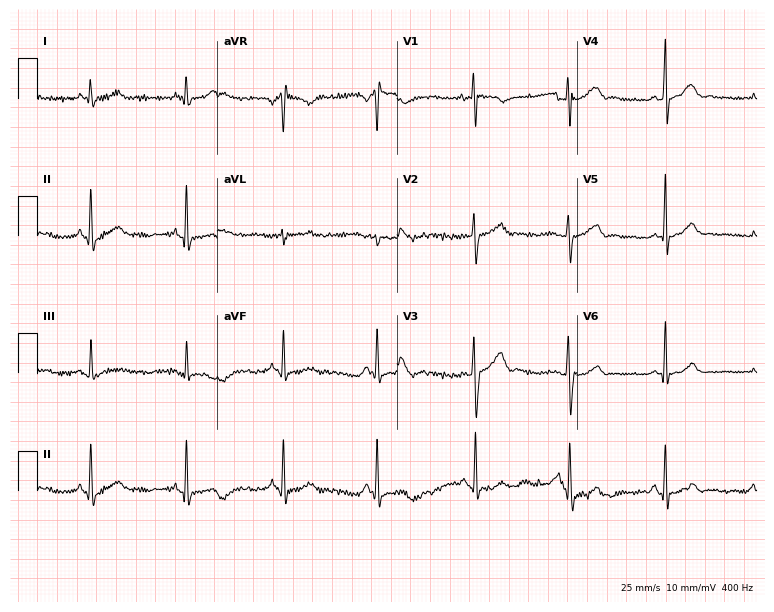
ECG (7.3-second recording at 400 Hz) — a 27-year-old male. Labelled as a normal ECG.